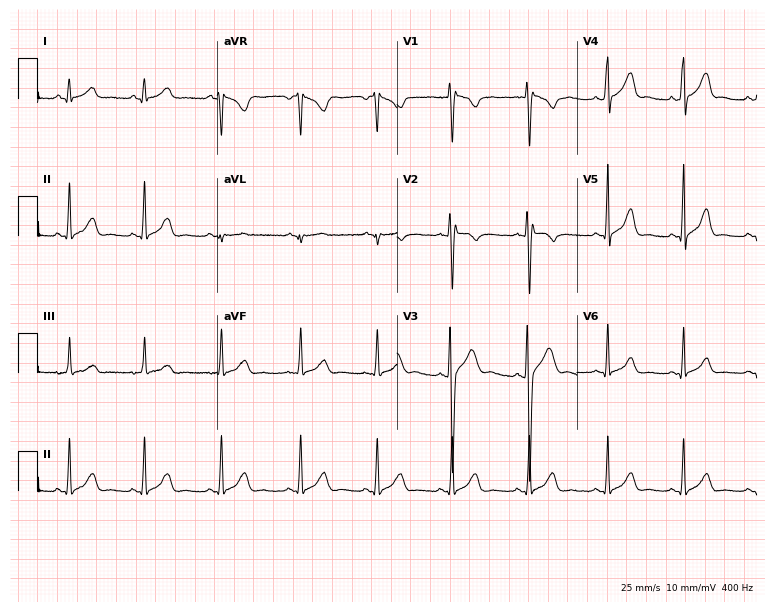
Electrocardiogram (7.3-second recording at 400 Hz), a female, 26 years old. Of the six screened findings (first-degree AV block, right bundle branch block (RBBB), left bundle branch block (LBBB), sinus bradycardia, atrial fibrillation (AF), sinus tachycardia), none is recorded.